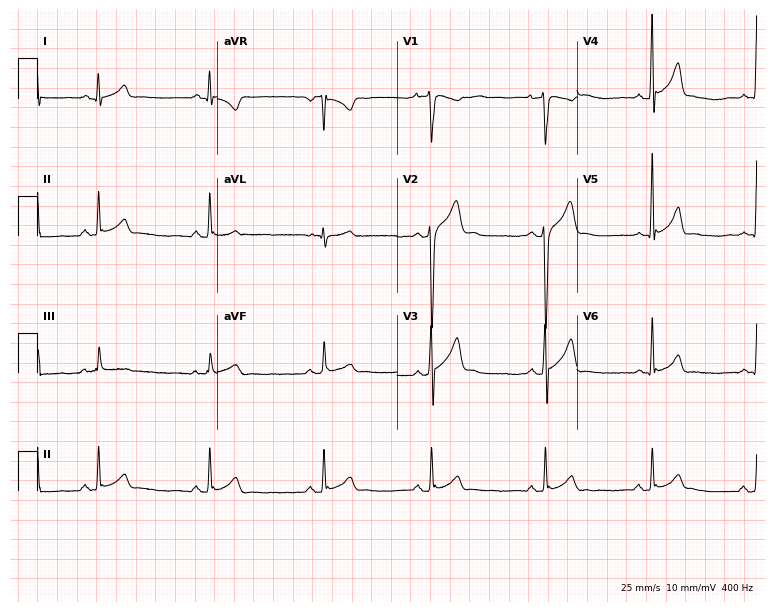
ECG (7.3-second recording at 400 Hz) — a male, 21 years old. Labelled as a normal ECG.